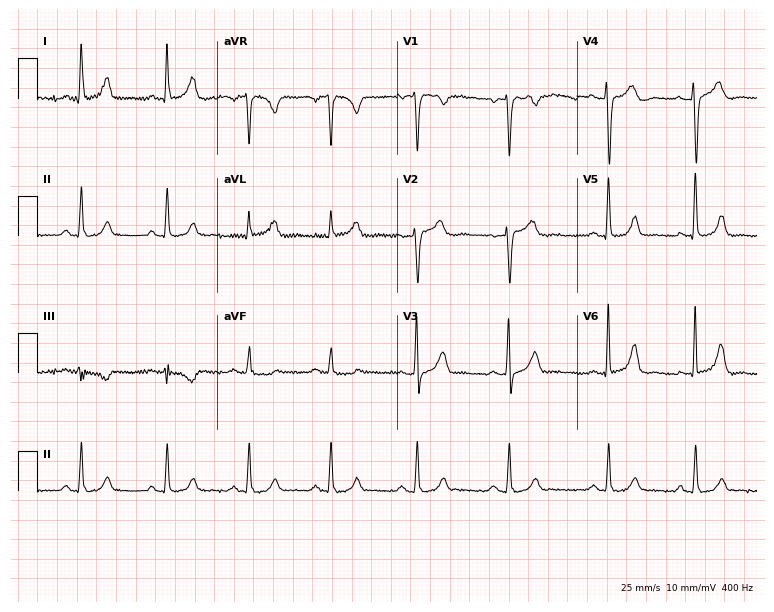
12-lead ECG from a female patient, 38 years old (7.3-second recording at 400 Hz). No first-degree AV block, right bundle branch block, left bundle branch block, sinus bradycardia, atrial fibrillation or sinus tachycardia recorded for this tracing. Other findings, if any, are not listed.